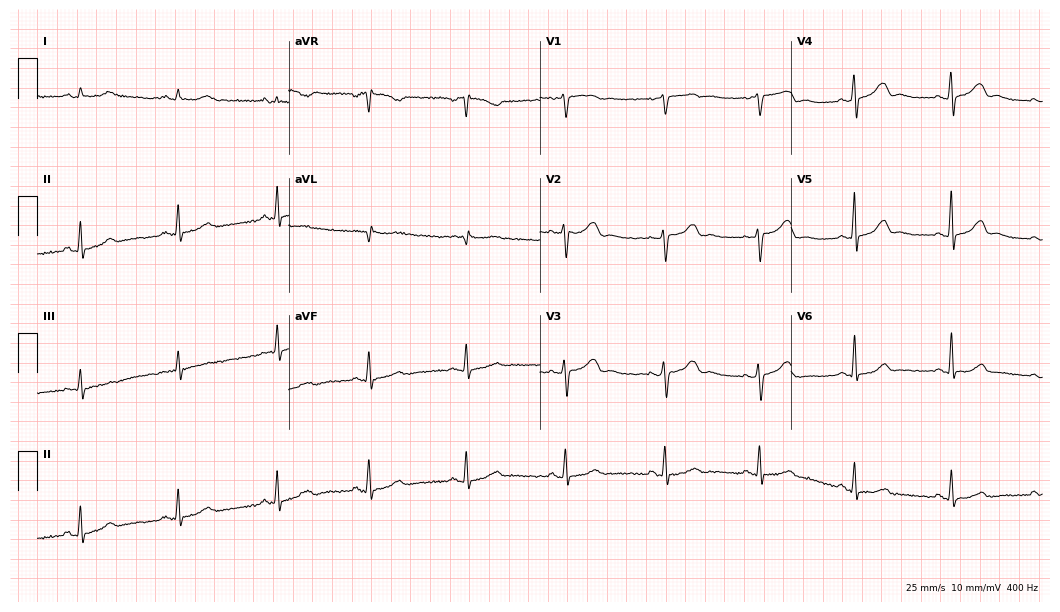
Electrocardiogram (10.2-second recording at 400 Hz), a 47-year-old female patient. Overall reading on record: normal ECG.